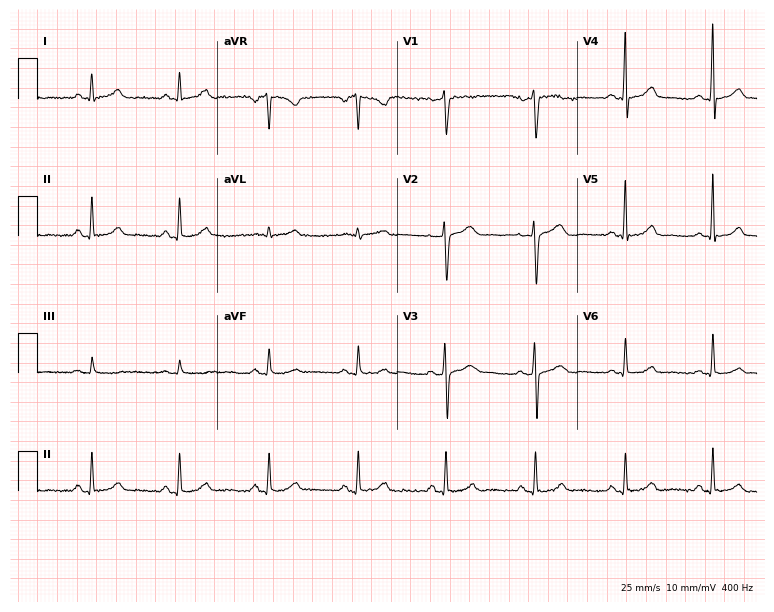
Electrocardiogram, a 65-year-old female. Overall reading on record: normal ECG.